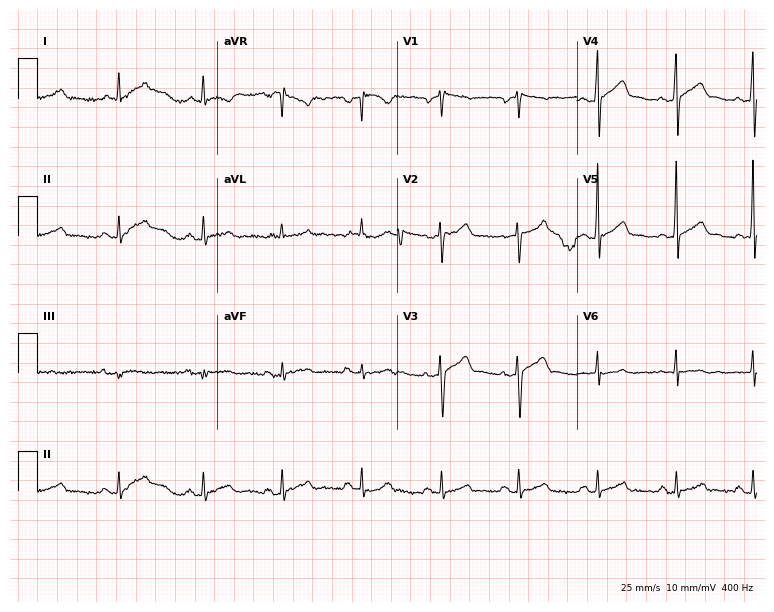
Standard 12-lead ECG recorded from a 45-year-old male patient (7.3-second recording at 400 Hz). Read as a normal ECG.